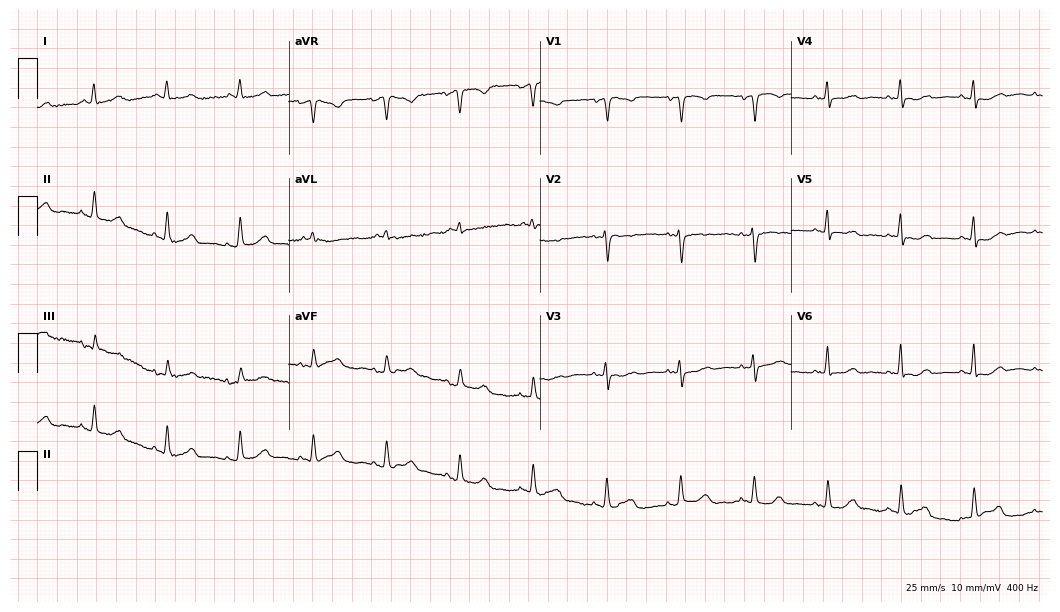
Electrocardiogram (10.2-second recording at 400 Hz), a female patient, 84 years old. Overall reading on record: normal ECG.